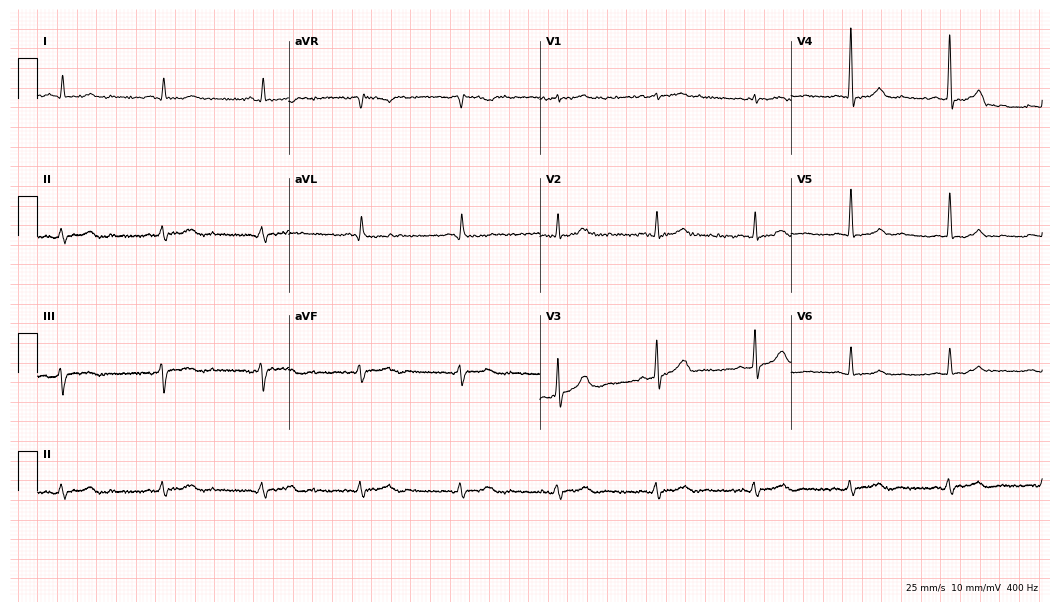
12-lead ECG from an 82-year-old man. Labelled as a normal ECG.